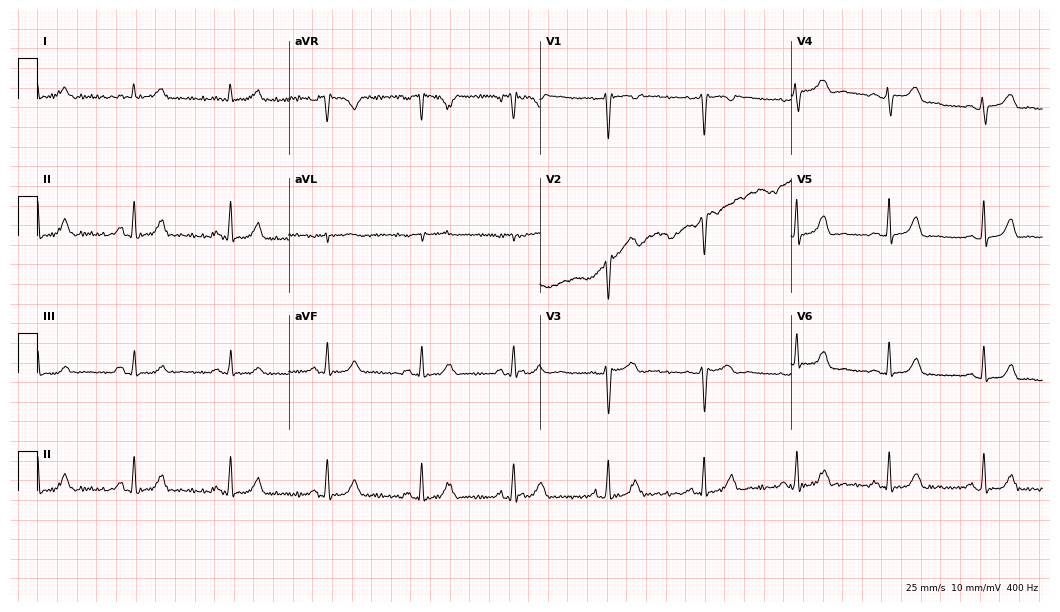
ECG (10.2-second recording at 400 Hz) — a female patient, 46 years old. Labelled as a normal ECG.